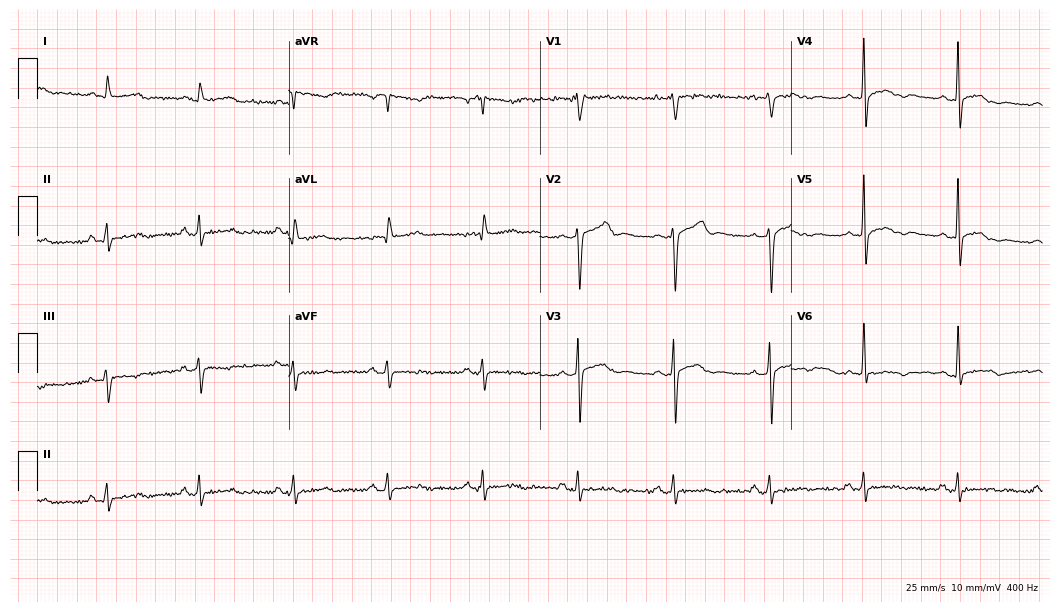
Electrocardiogram, a 61-year-old male. Of the six screened findings (first-degree AV block, right bundle branch block, left bundle branch block, sinus bradycardia, atrial fibrillation, sinus tachycardia), none is recorded. Only these six findings were labelled.